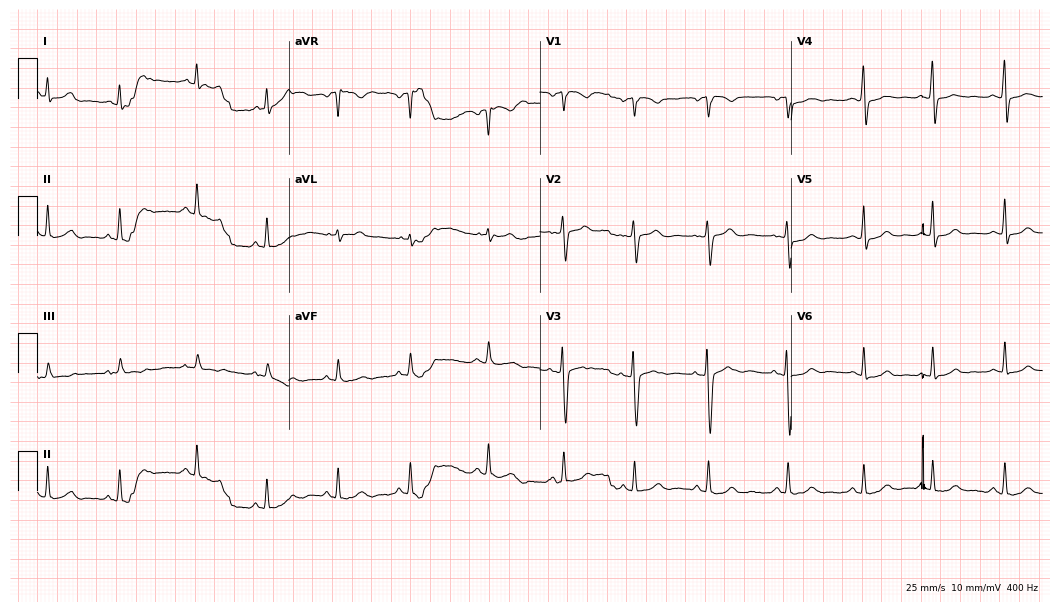
Resting 12-lead electrocardiogram. Patient: a woman, 27 years old. Read as a normal ECG.